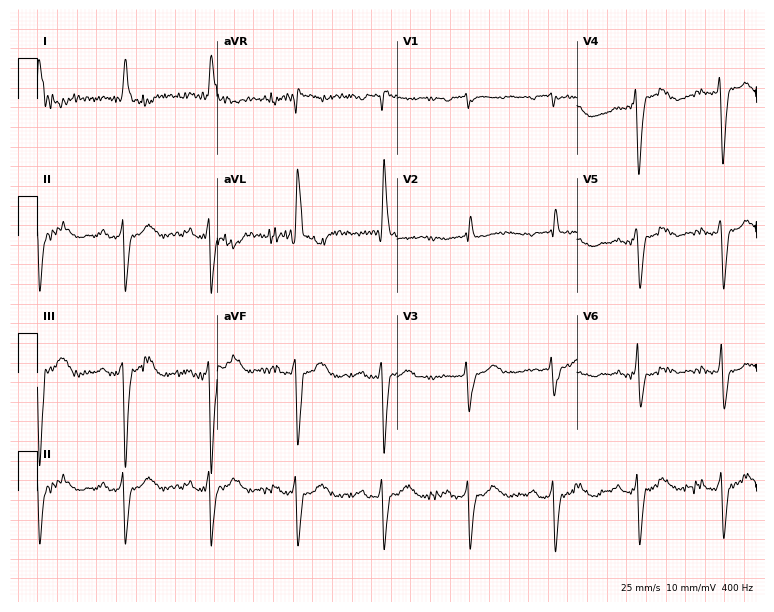
12-lead ECG (7.3-second recording at 400 Hz) from a female patient, 73 years old. Screened for six findings — first-degree AV block, right bundle branch block, left bundle branch block, sinus bradycardia, atrial fibrillation, sinus tachycardia — none is recorded.